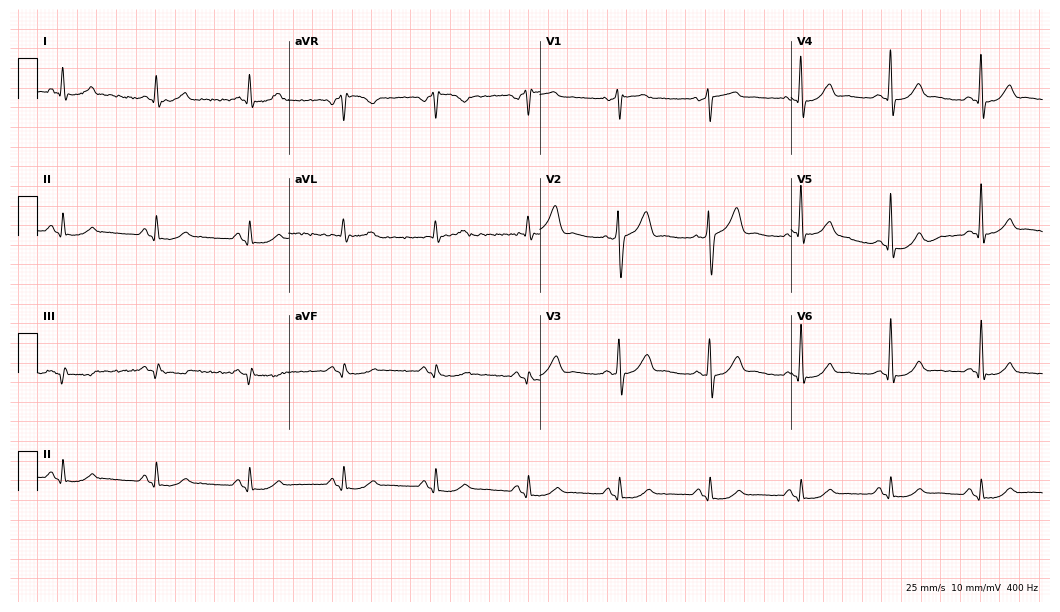
12-lead ECG (10.2-second recording at 400 Hz) from a 57-year-old male. Labelled as a normal ECG.